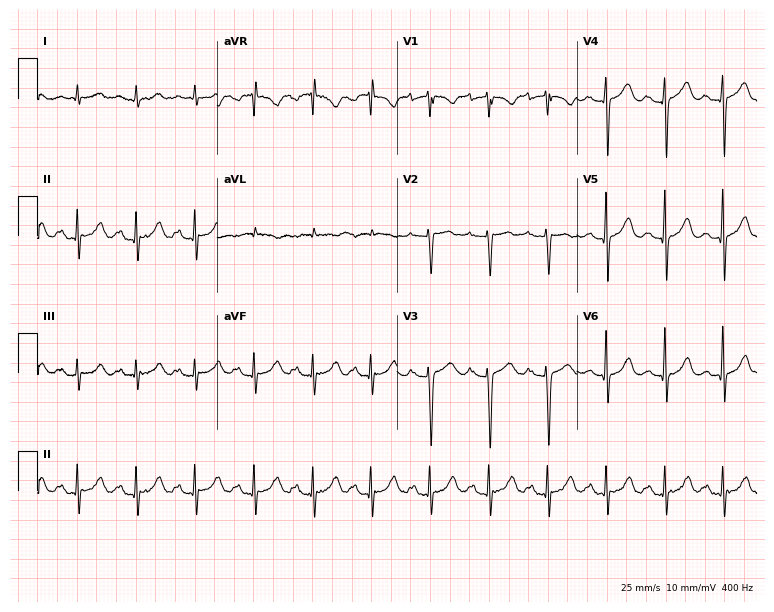
Resting 12-lead electrocardiogram. Patient: a 68-year-old woman. The tracing shows sinus tachycardia (a sinus rate of 100 beats per minute or more).